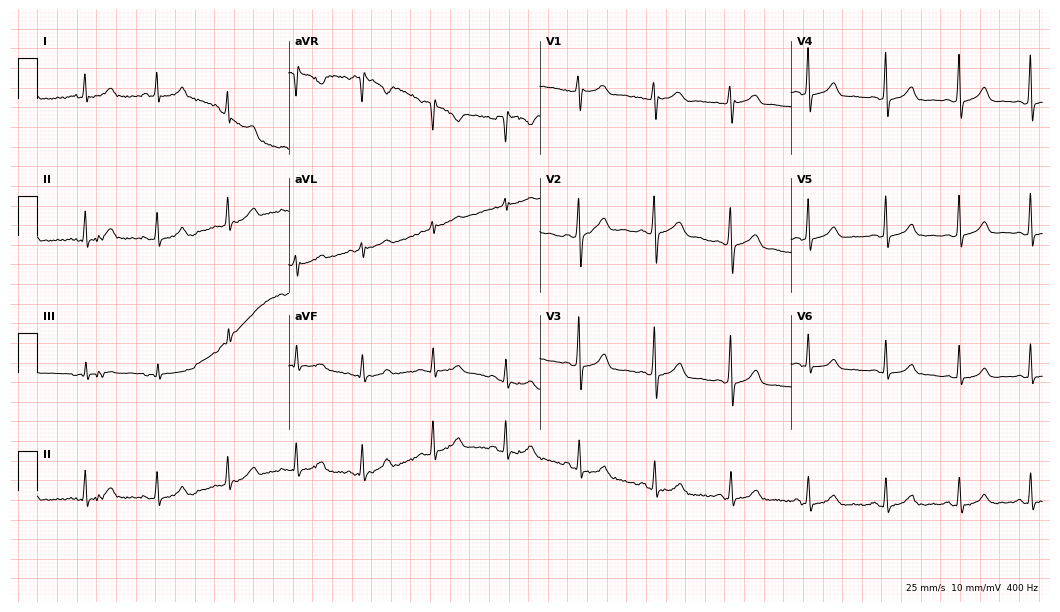
Electrocardiogram (10.2-second recording at 400 Hz), a female, 24 years old. Overall reading on record: normal ECG.